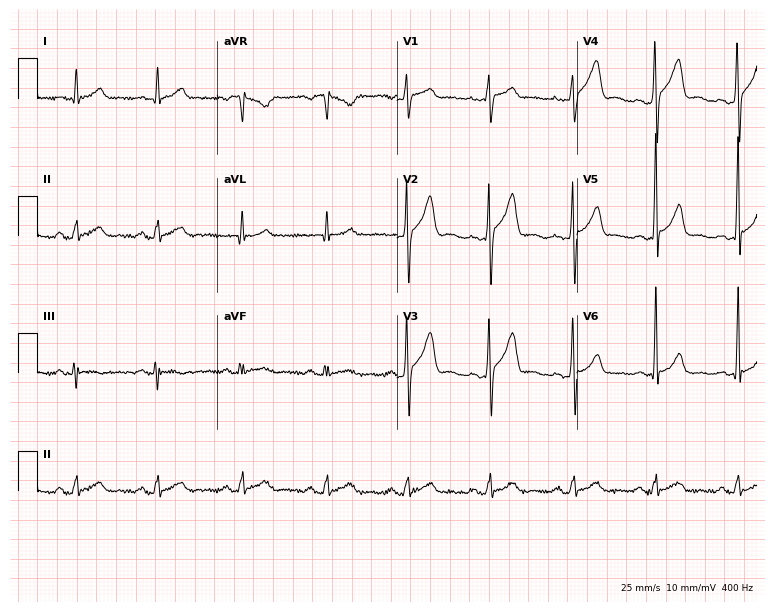
12-lead ECG (7.3-second recording at 400 Hz) from a 25-year-old male. Screened for six findings — first-degree AV block, right bundle branch block, left bundle branch block, sinus bradycardia, atrial fibrillation, sinus tachycardia — none is recorded. Other findings, if any, are not listed.